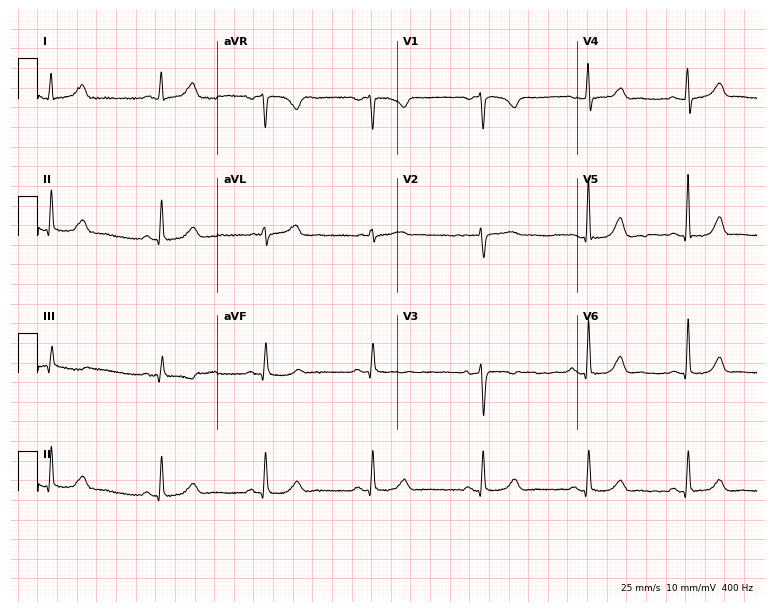
12-lead ECG from a 51-year-old female patient. Recorded interpretation: within normal limits.